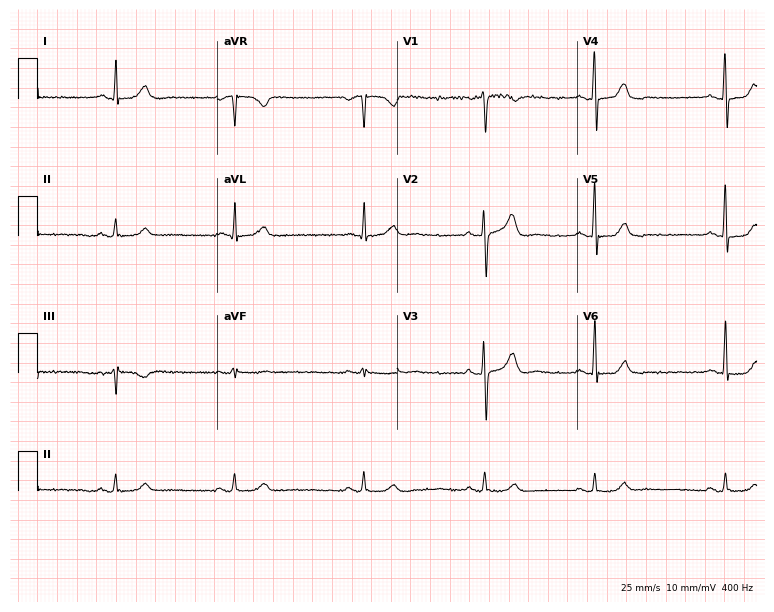
Standard 12-lead ECG recorded from a male, 45 years old. None of these six findings is recorded: first-degree AV block, right bundle branch block, left bundle branch block, sinus bradycardia, atrial fibrillation, sinus tachycardia.